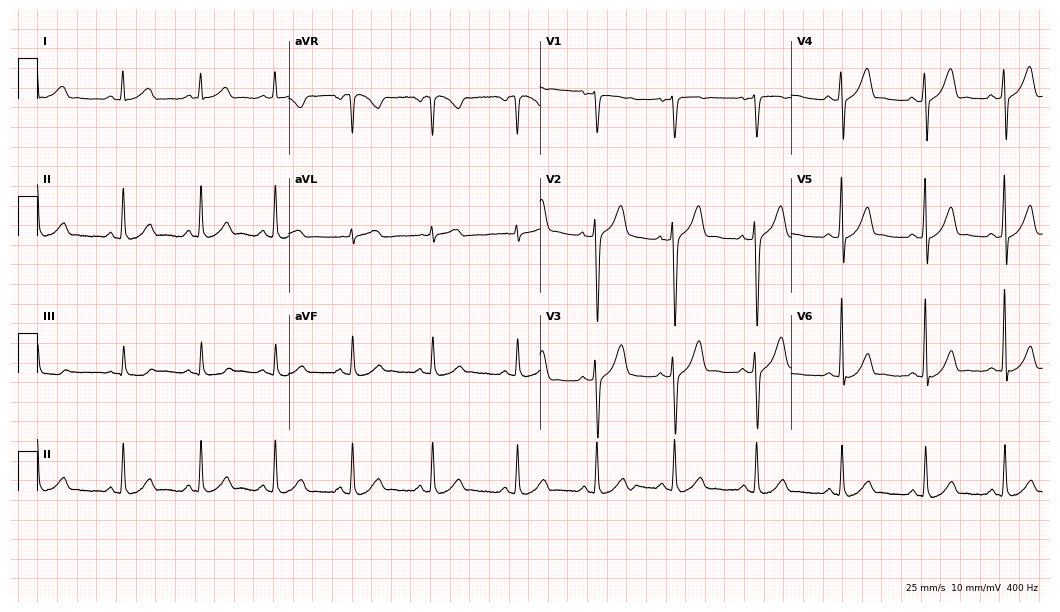
ECG (10.2-second recording at 400 Hz) — a male patient, 39 years old. Labelled as a normal ECG.